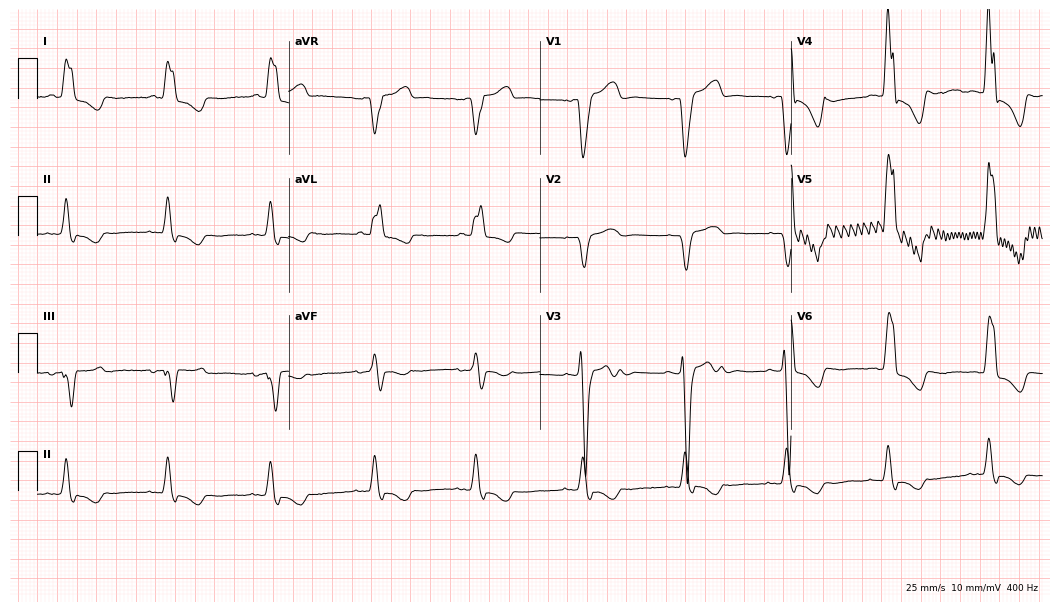
Resting 12-lead electrocardiogram (10.2-second recording at 400 Hz). Patient: a male, 77 years old. The tracing shows left bundle branch block.